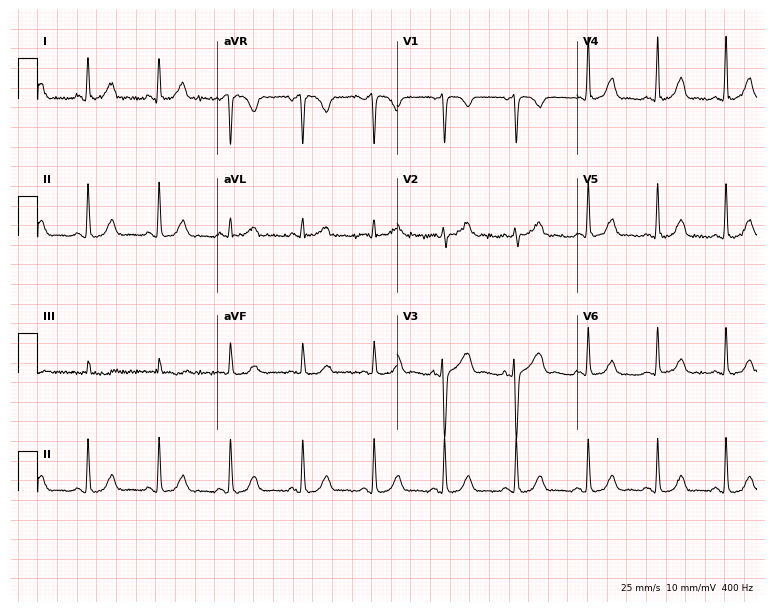
Resting 12-lead electrocardiogram (7.3-second recording at 400 Hz). Patient: a female, 39 years old. Read as a normal ECG.